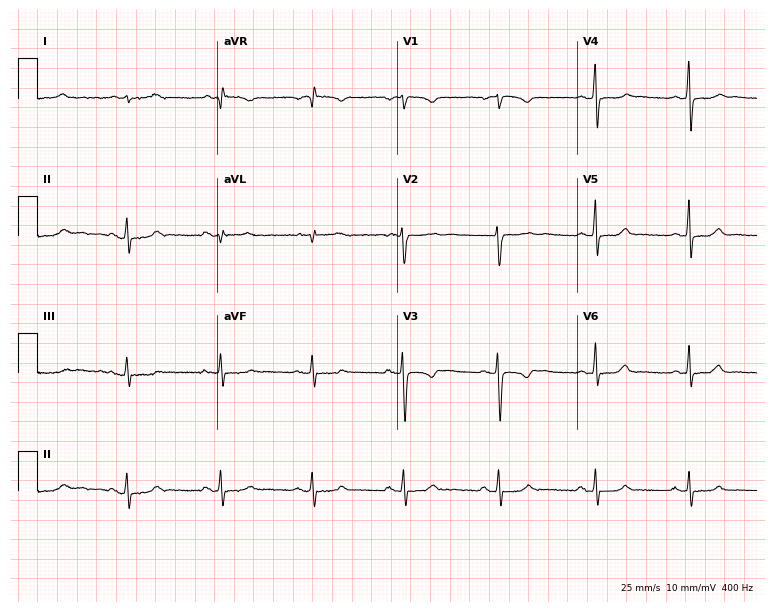
Electrocardiogram (7.3-second recording at 400 Hz), a 32-year-old female. Of the six screened findings (first-degree AV block, right bundle branch block, left bundle branch block, sinus bradycardia, atrial fibrillation, sinus tachycardia), none is recorded. Other findings, if any, are not listed.